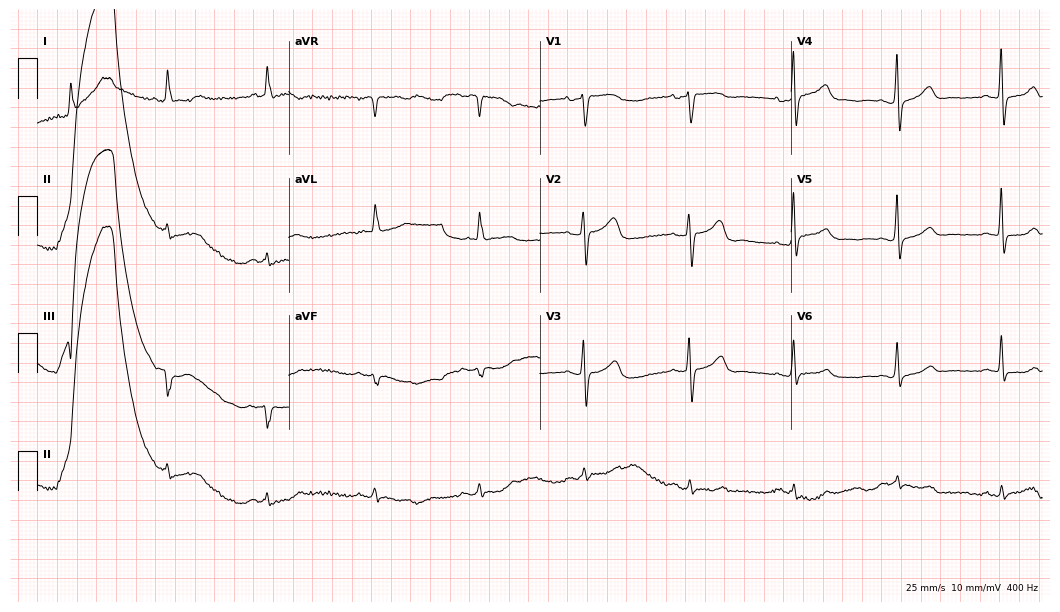
Standard 12-lead ECG recorded from an 81-year-old woman (10.2-second recording at 400 Hz). Read as a normal ECG.